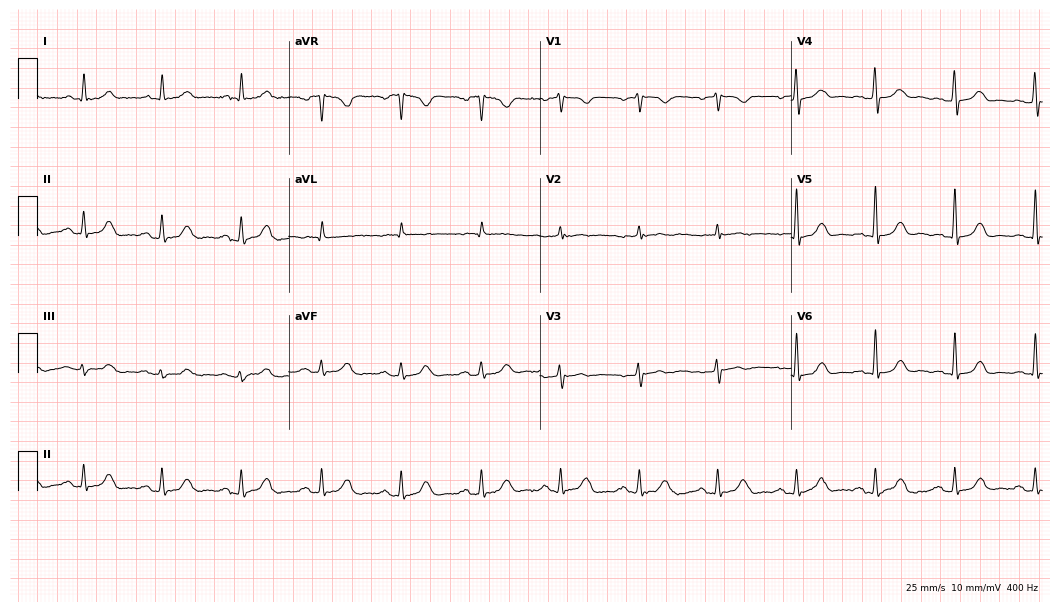
Resting 12-lead electrocardiogram (10.2-second recording at 400 Hz). Patient: a 73-year-old female. Read as a normal ECG.